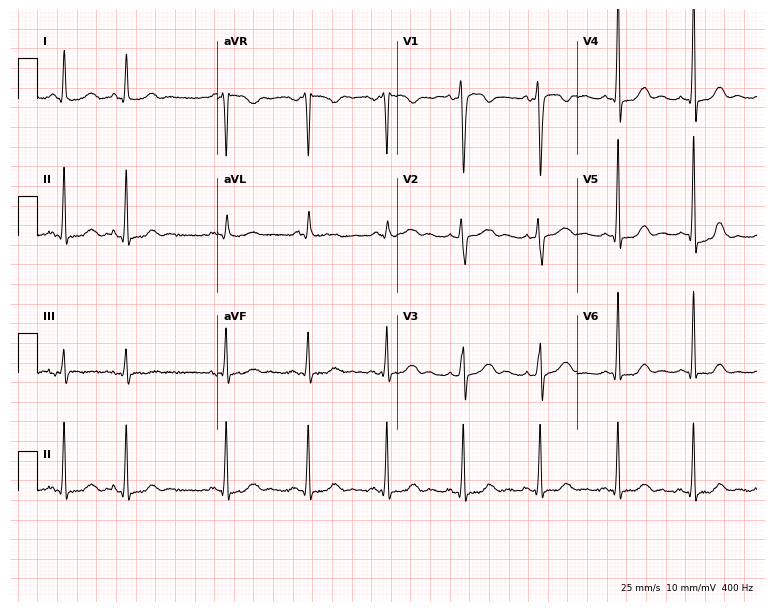
Electrocardiogram, a 45-year-old woman. Of the six screened findings (first-degree AV block, right bundle branch block (RBBB), left bundle branch block (LBBB), sinus bradycardia, atrial fibrillation (AF), sinus tachycardia), none is recorded. Only these six findings were labelled.